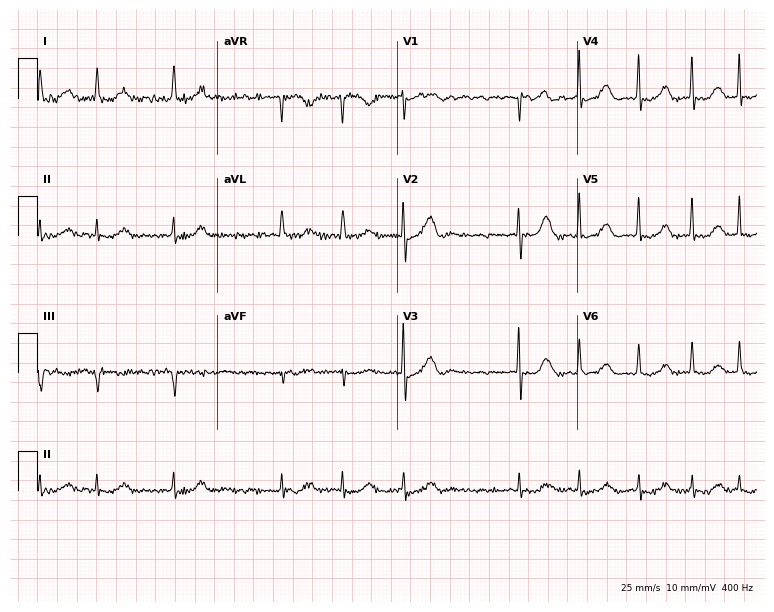
ECG (7.3-second recording at 400 Hz) — a female, 81 years old. Screened for six findings — first-degree AV block, right bundle branch block, left bundle branch block, sinus bradycardia, atrial fibrillation, sinus tachycardia — none is recorded.